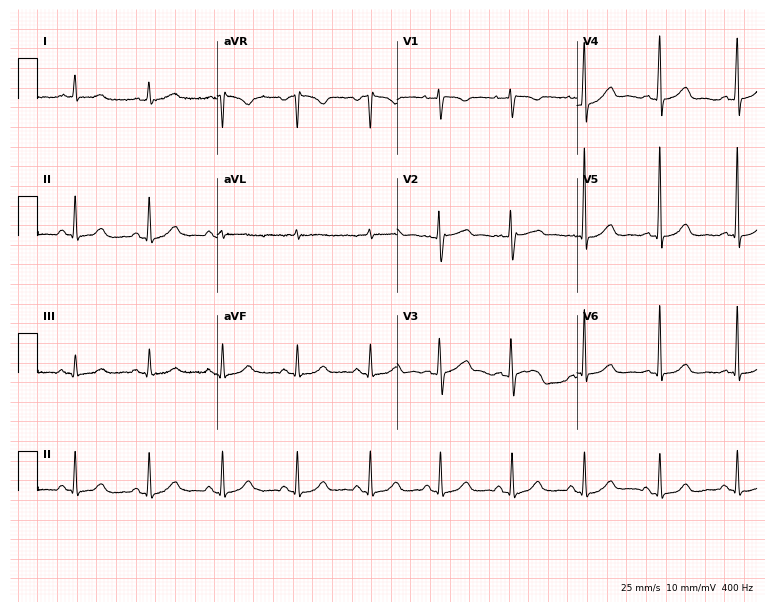
Standard 12-lead ECG recorded from a 32-year-old female patient. Read as a normal ECG.